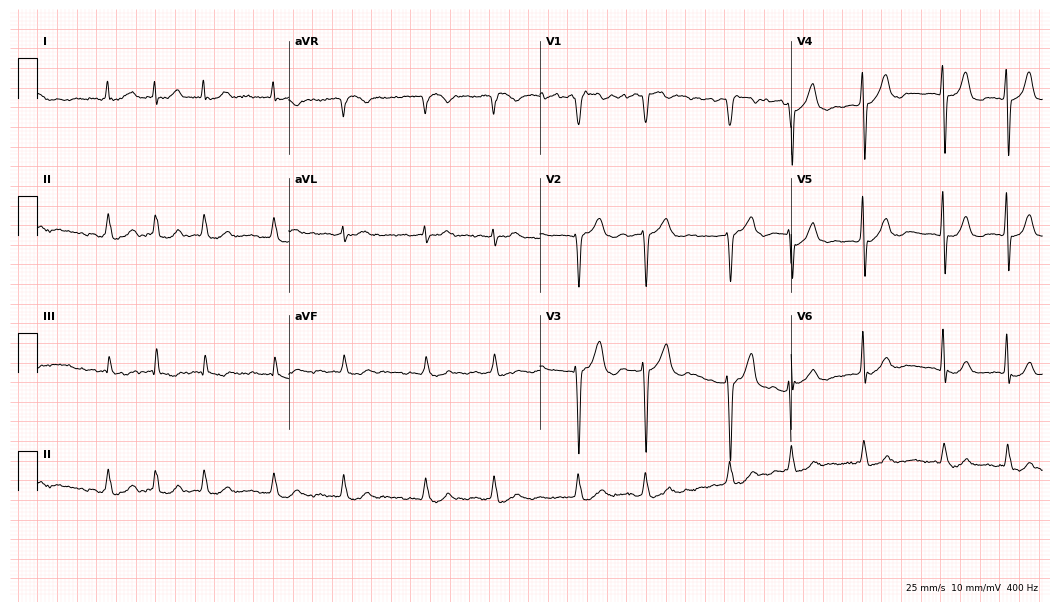
Standard 12-lead ECG recorded from a man, 76 years old. The tracing shows atrial fibrillation.